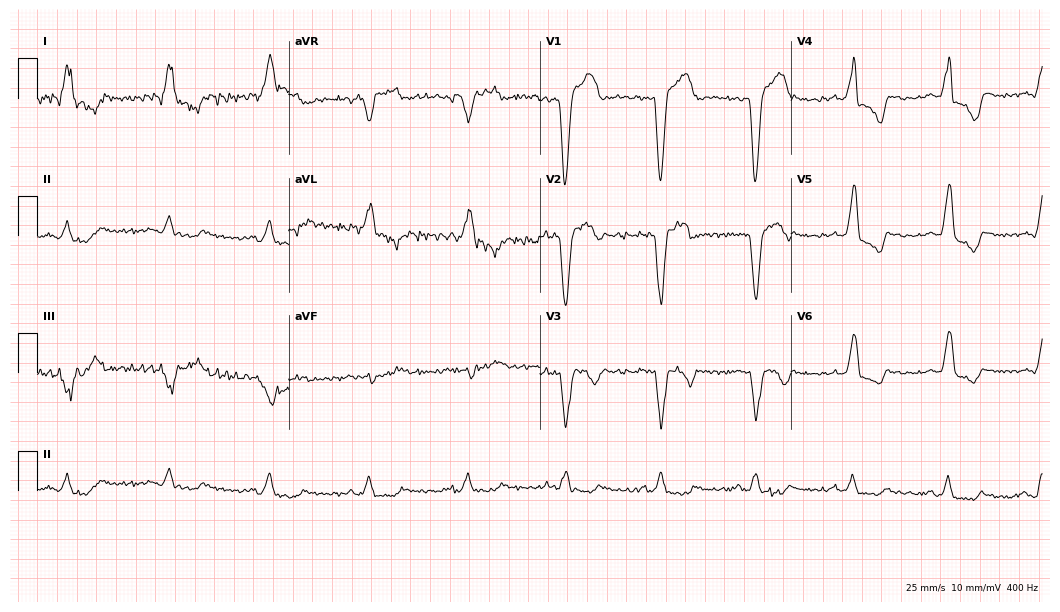
ECG (10.2-second recording at 400 Hz) — a male, 62 years old. Findings include left bundle branch block (LBBB).